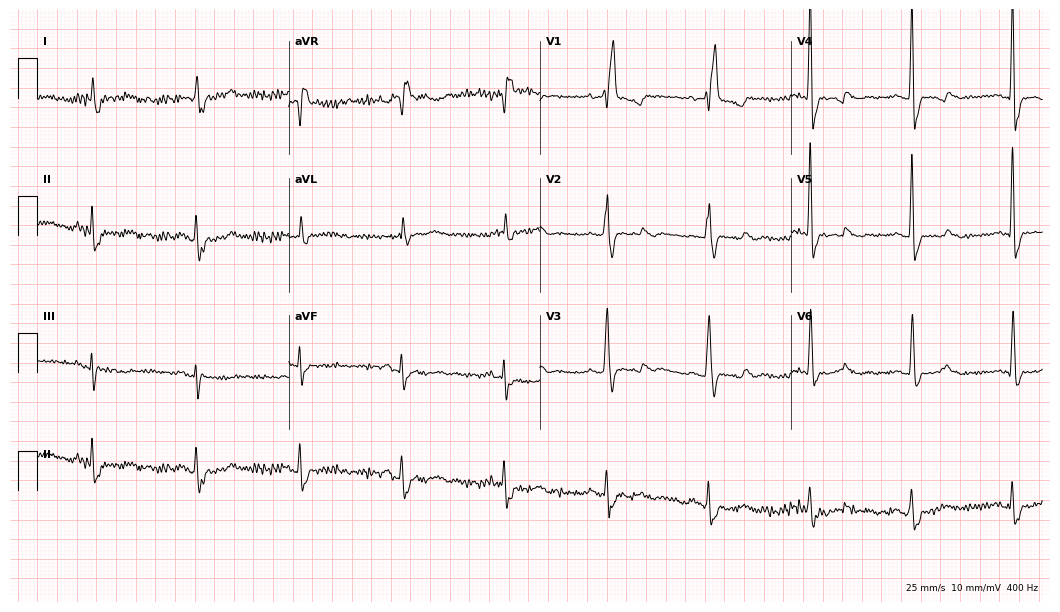
Electrocardiogram (10.2-second recording at 400 Hz), a 77-year-old male patient. Of the six screened findings (first-degree AV block, right bundle branch block (RBBB), left bundle branch block (LBBB), sinus bradycardia, atrial fibrillation (AF), sinus tachycardia), none is recorded. Only these six findings were labelled.